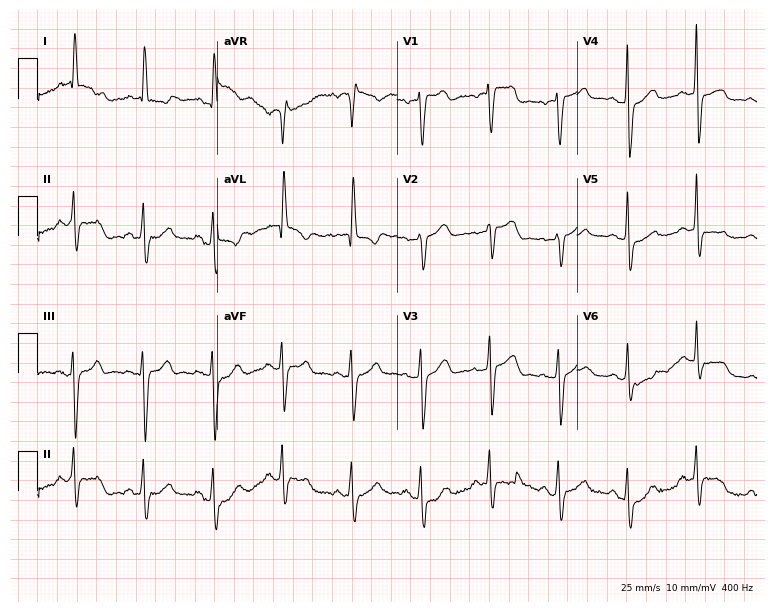
12-lead ECG from a woman, 83 years old. Labelled as a normal ECG.